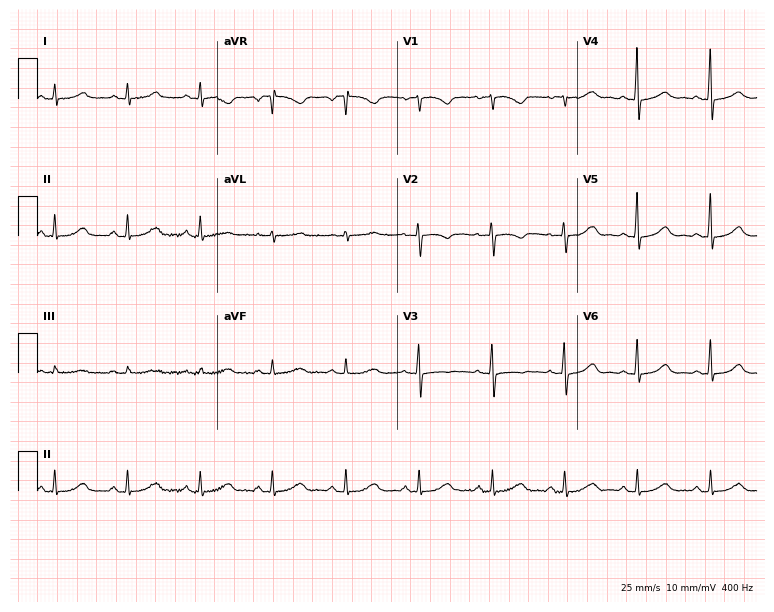
12-lead ECG from a 60-year-old woman. Labelled as a normal ECG.